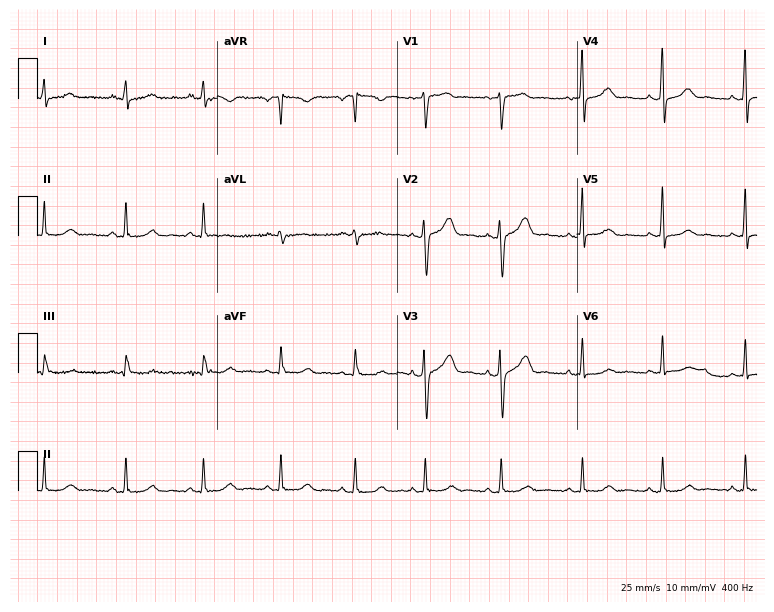
12-lead ECG (7.3-second recording at 400 Hz) from a 36-year-old woman. Screened for six findings — first-degree AV block, right bundle branch block, left bundle branch block, sinus bradycardia, atrial fibrillation, sinus tachycardia — none is recorded.